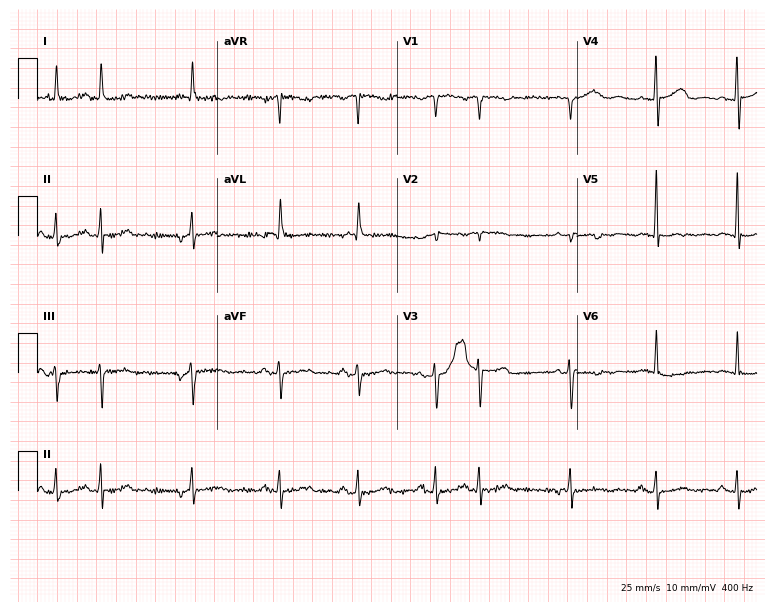
Standard 12-lead ECG recorded from a female patient, 74 years old. None of these six findings is recorded: first-degree AV block, right bundle branch block (RBBB), left bundle branch block (LBBB), sinus bradycardia, atrial fibrillation (AF), sinus tachycardia.